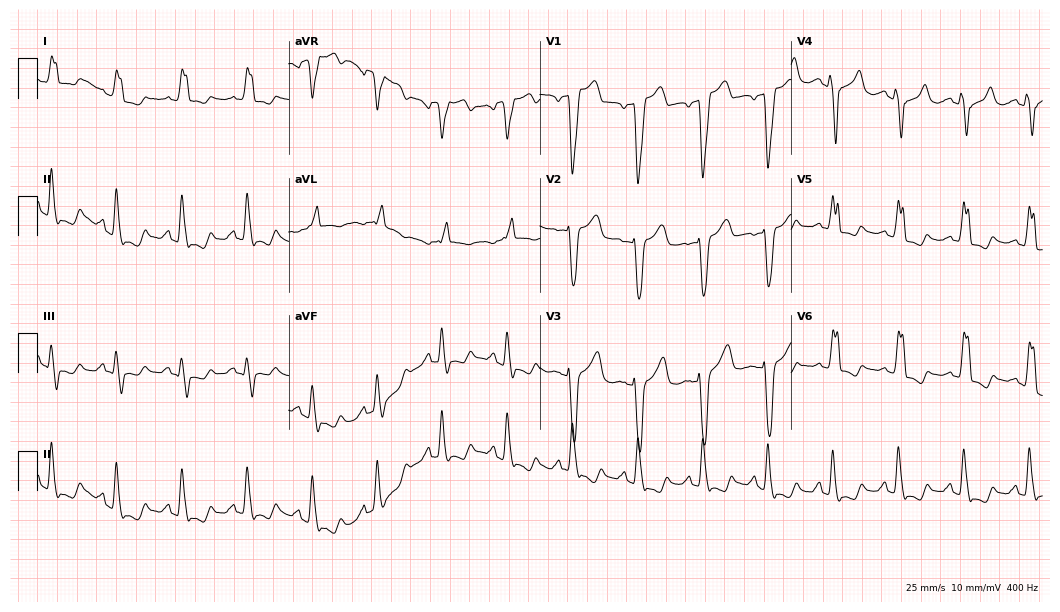
12-lead ECG from a 70-year-old woman (10.2-second recording at 400 Hz). Shows left bundle branch block.